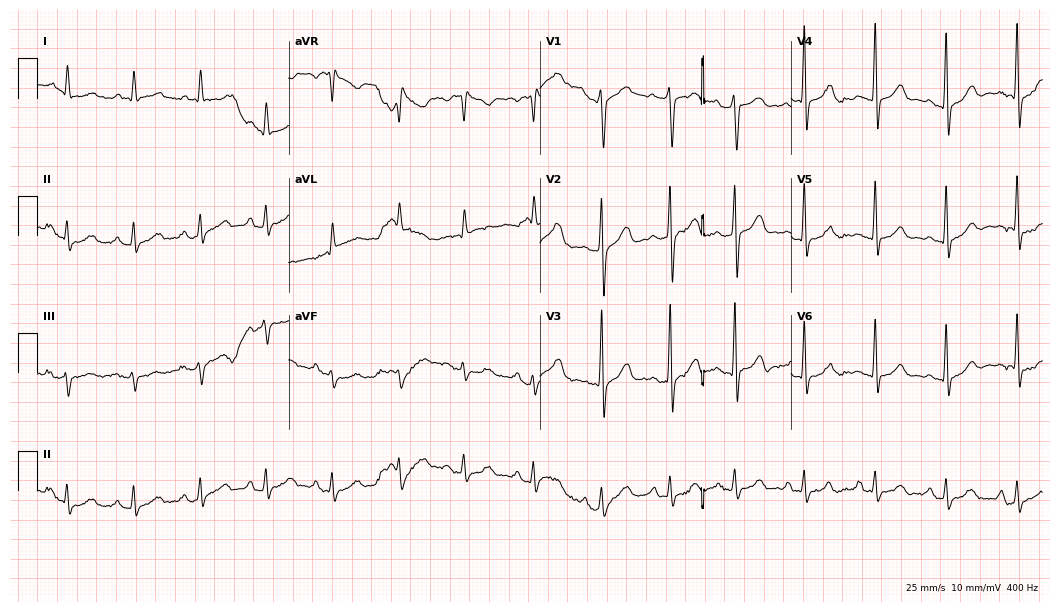
12-lead ECG from an 81-year-old man (10.2-second recording at 400 Hz). No first-degree AV block, right bundle branch block, left bundle branch block, sinus bradycardia, atrial fibrillation or sinus tachycardia recorded for this tracing. Other findings, if any, are not listed.